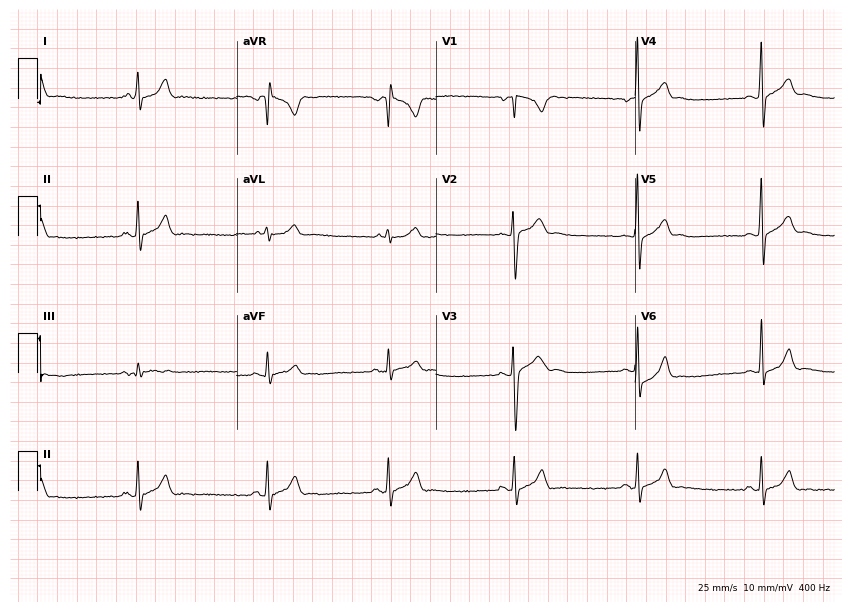
Electrocardiogram, a male patient, 17 years old. Overall reading on record: normal ECG.